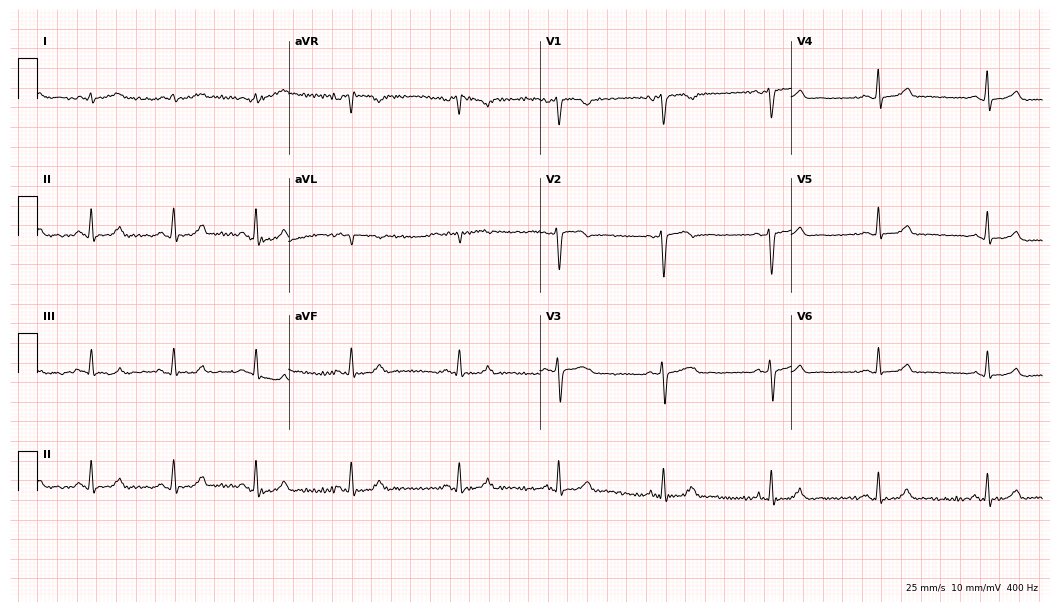
12-lead ECG from a female patient, 38 years old. Recorded interpretation: within normal limits.